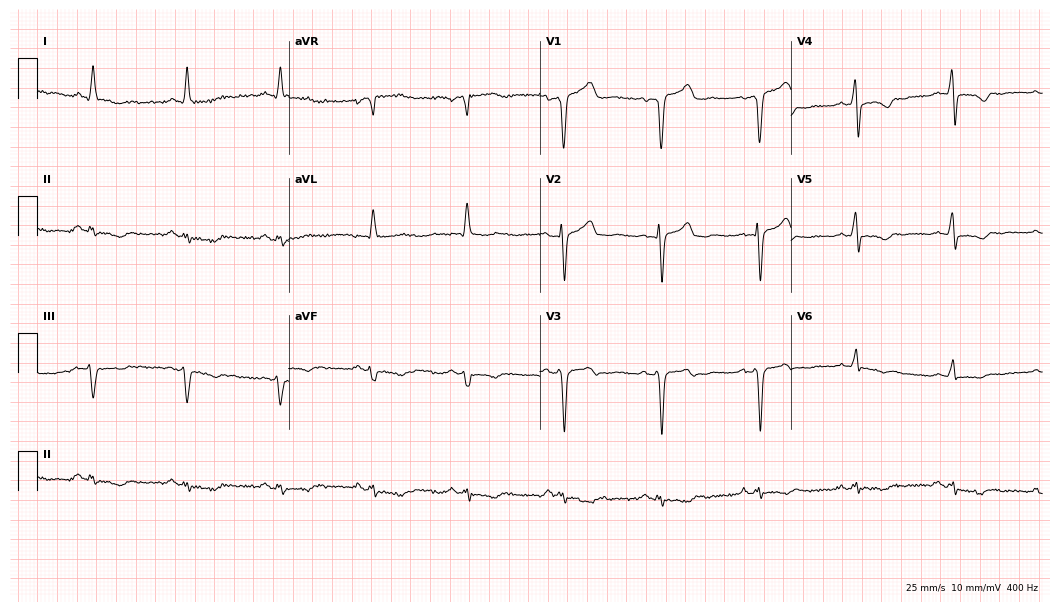
Electrocardiogram, a man, 60 years old. Of the six screened findings (first-degree AV block, right bundle branch block, left bundle branch block, sinus bradycardia, atrial fibrillation, sinus tachycardia), none is recorded. Findings outside these six are not listed.